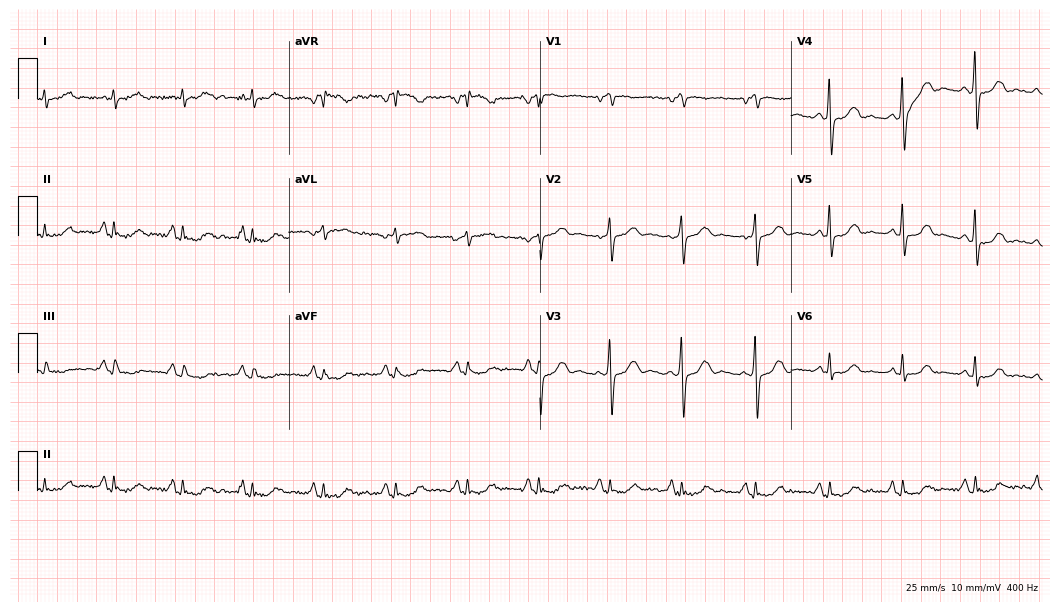
Standard 12-lead ECG recorded from a 63-year-old man. Read as a normal ECG.